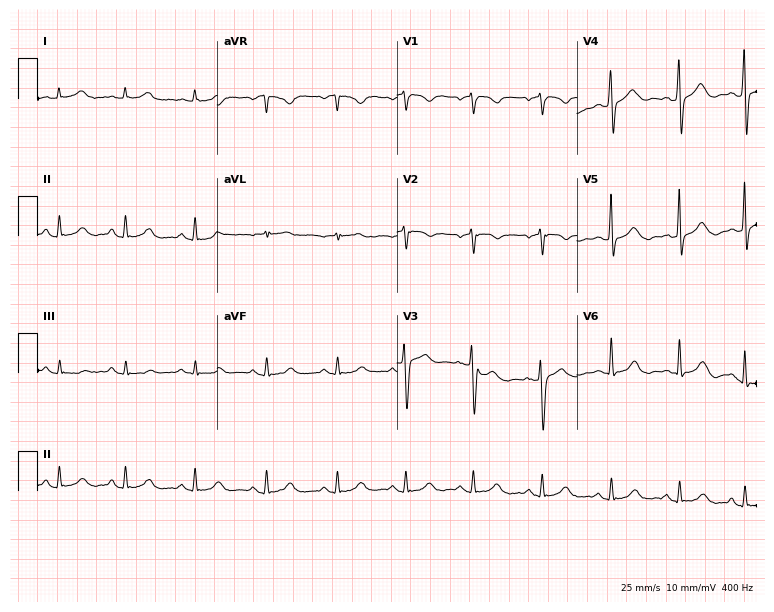
ECG (7.3-second recording at 400 Hz) — a female patient, 41 years old. Screened for six findings — first-degree AV block, right bundle branch block (RBBB), left bundle branch block (LBBB), sinus bradycardia, atrial fibrillation (AF), sinus tachycardia — none is recorded. Only these six findings were labelled.